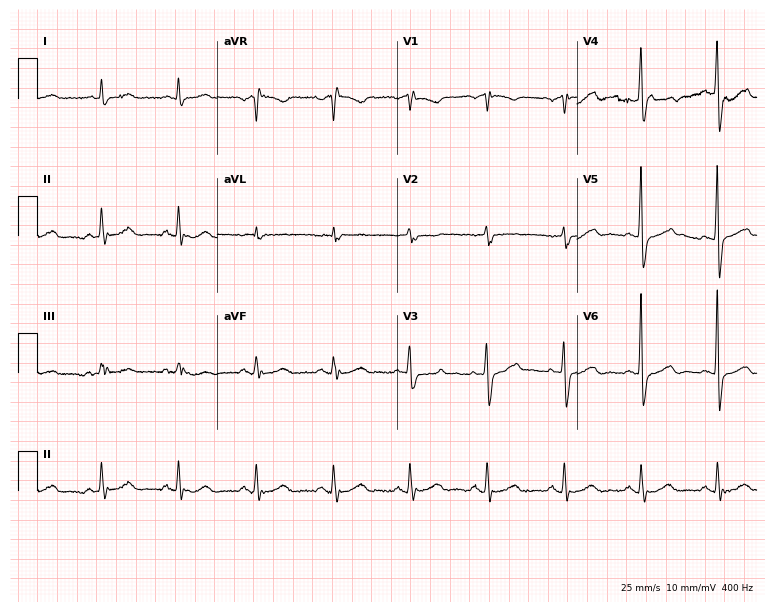
Electrocardiogram (7.3-second recording at 400 Hz), a male, 81 years old. Of the six screened findings (first-degree AV block, right bundle branch block, left bundle branch block, sinus bradycardia, atrial fibrillation, sinus tachycardia), none is recorded. Only these six findings were labelled.